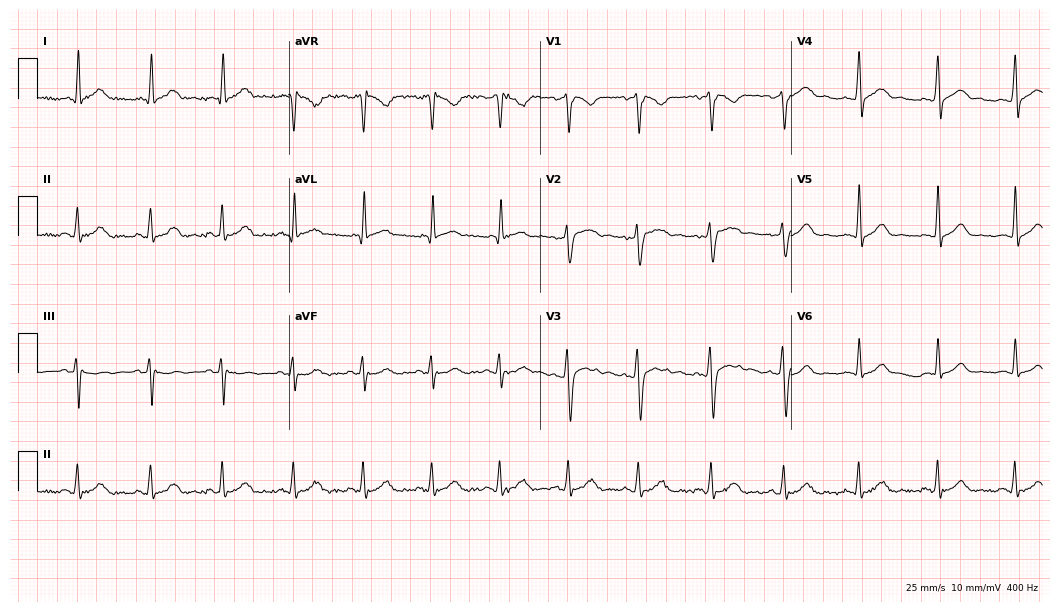
12-lead ECG (10.2-second recording at 400 Hz) from a 32-year-old male. Labelled as a normal ECG.